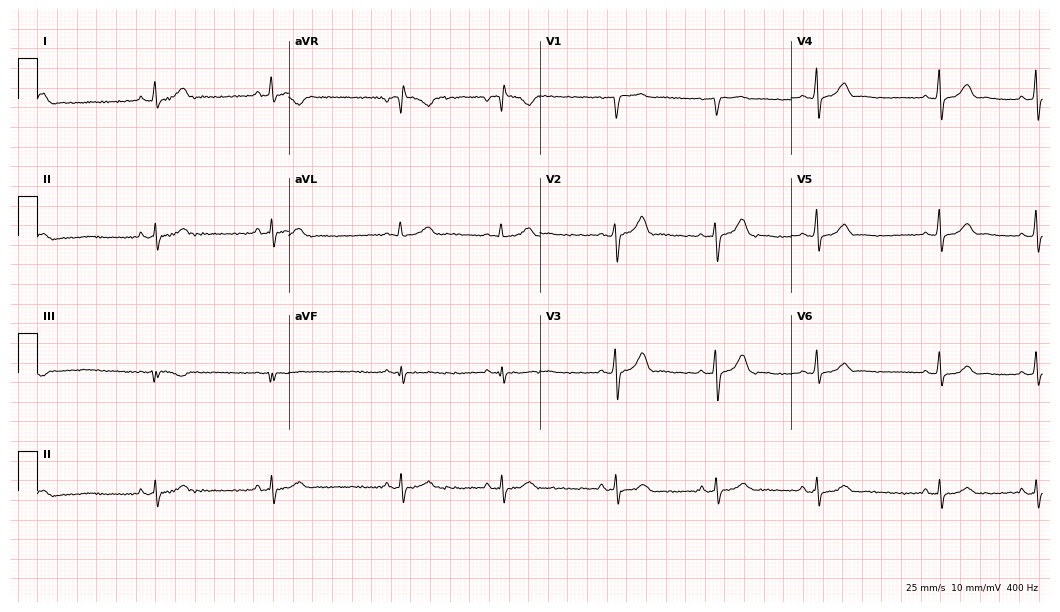
Electrocardiogram, a 42-year-old female. Overall reading on record: normal ECG.